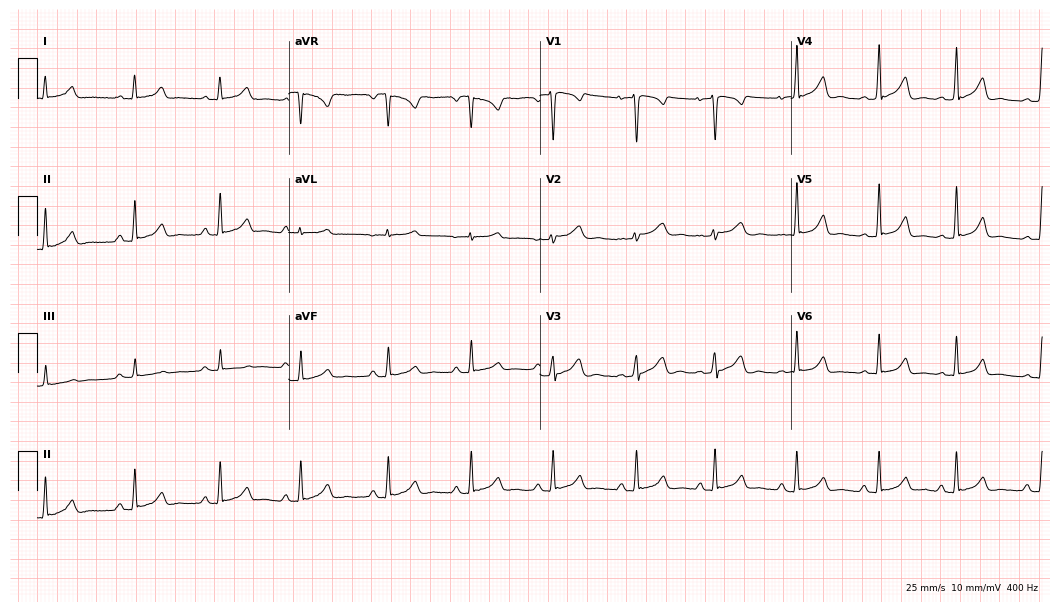
Resting 12-lead electrocardiogram (10.2-second recording at 400 Hz). Patient: a 24-year-old woman. Read as a normal ECG.